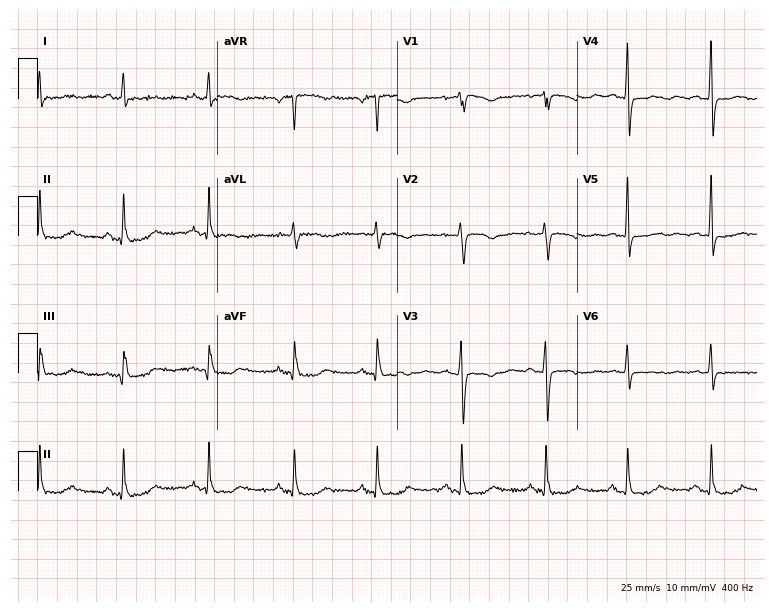
ECG — a woman, 83 years old. Screened for six findings — first-degree AV block, right bundle branch block, left bundle branch block, sinus bradycardia, atrial fibrillation, sinus tachycardia — none is recorded.